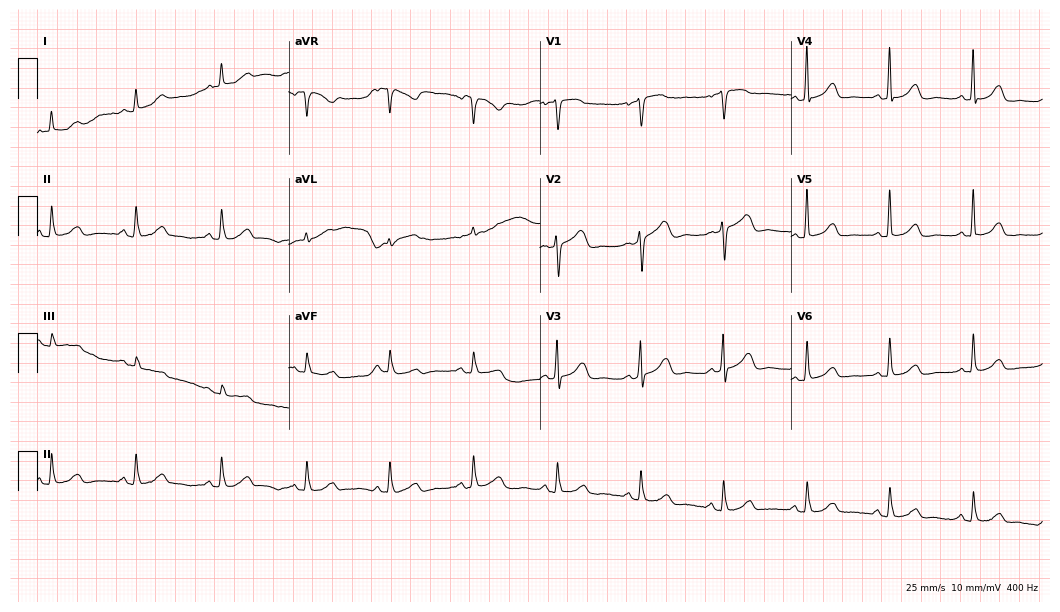
12-lead ECG (10.2-second recording at 400 Hz) from a 79-year-old female patient. Screened for six findings — first-degree AV block, right bundle branch block (RBBB), left bundle branch block (LBBB), sinus bradycardia, atrial fibrillation (AF), sinus tachycardia — none is recorded. Only these six findings were labelled.